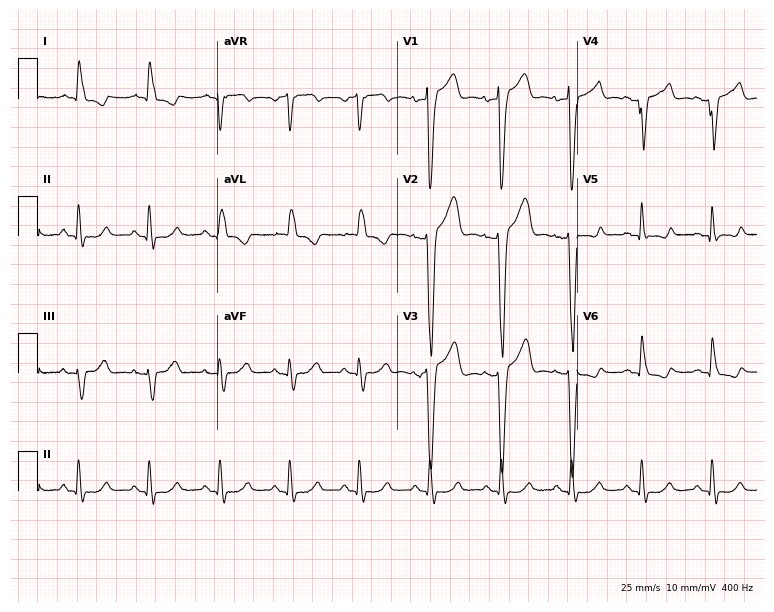
Resting 12-lead electrocardiogram (7.3-second recording at 400 Hz). Patient: an 82-year-old female. The tracing shows left bundle branch block.